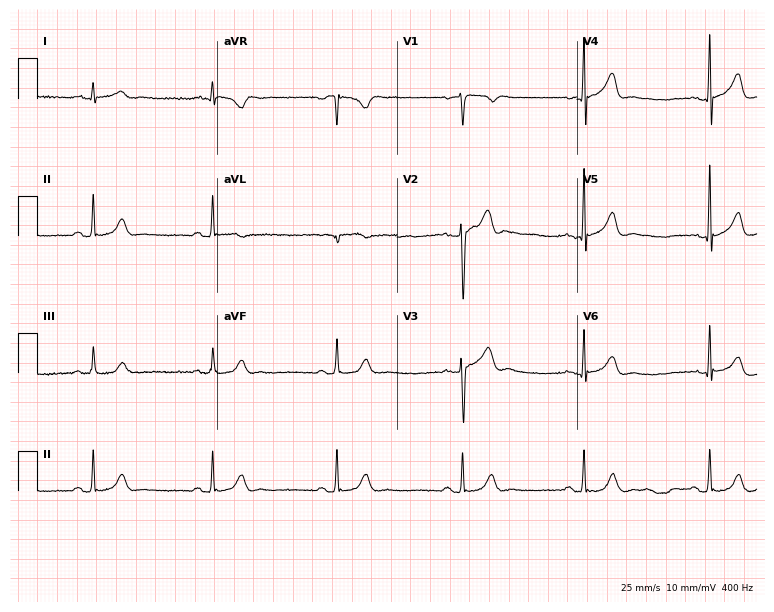
Standard 12-lead ECG recorded from a 32-year-old male patient (7.3-second recording at 400 Hz). Read as a normal ECG.